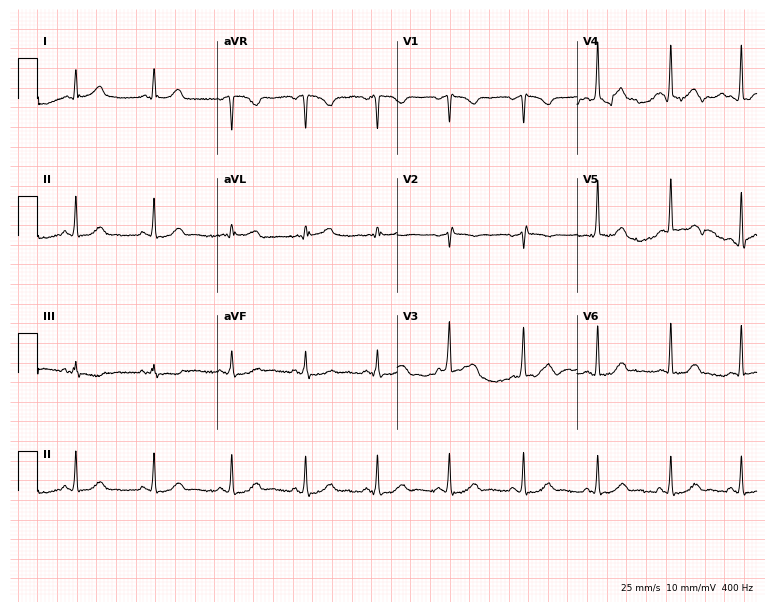
12-lead ECG from a 36-year-old female patient. Labelled as a normal ECG.